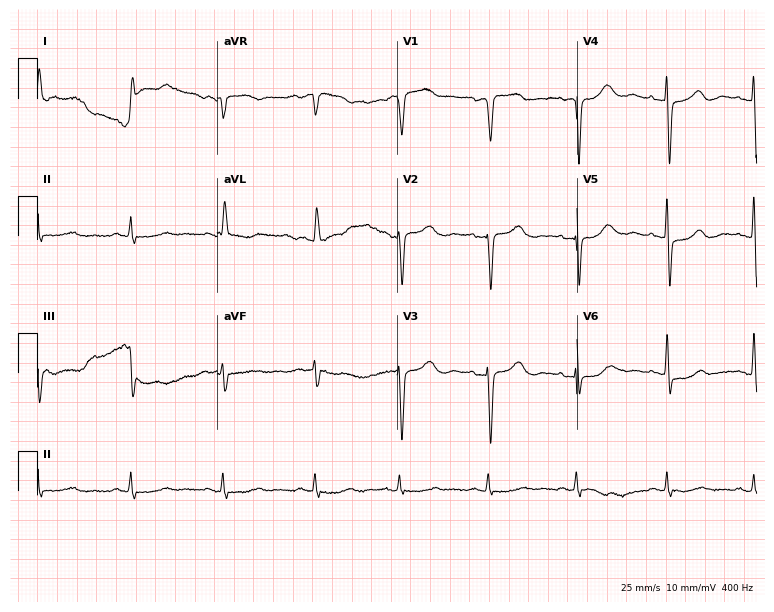
Resting 12-lead electrocardiogram. Patient: a female, 61 years old. None of these six findings is recorded: first-degree AV block, right bundle branch block, left bundle branch block, sinus bradycardia, atrial fibrillation, sinus tachycardia.